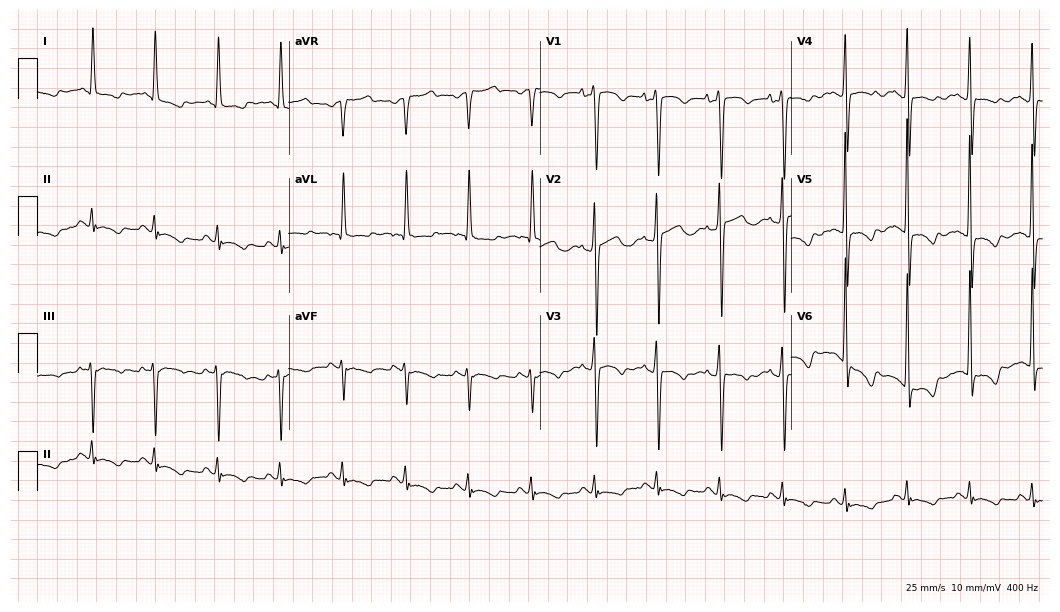
Standard 12-lead ECG recorded from an 84-year-old female patient. None of these six findings is recorded: first-degree AV block, right bundle branch block (RBBB), left bundle branch block (LBBB), sinus bradycardia, atrial fibrillation (AF), sinus tachycardia. Only these six findings were labelled.